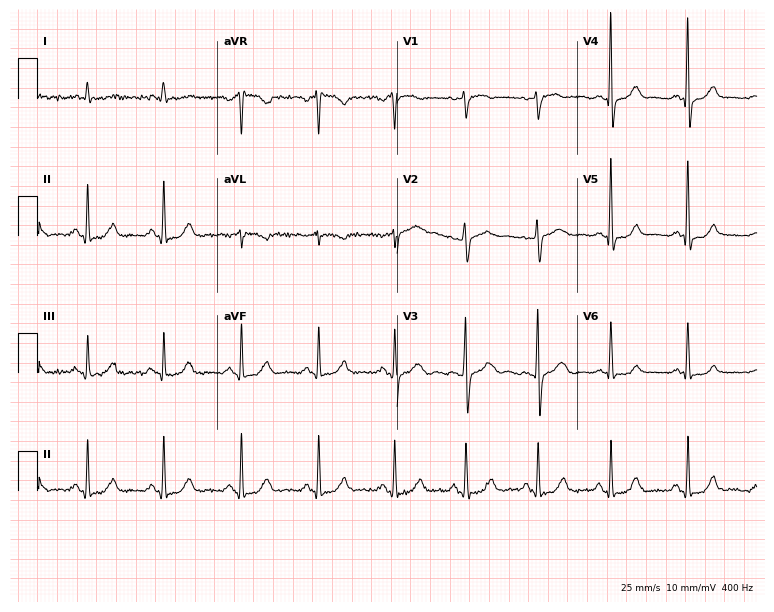
Resting 12-lead electrocardiogram (7.3-second recording at 400 Hz). Patient: a male, 62 years old. None of these six findings is recorded: first-degree AV block, right bundle branch block, left bundle branch block, sinus bradycardia, atrial fibrillation, sinus tachycardia.